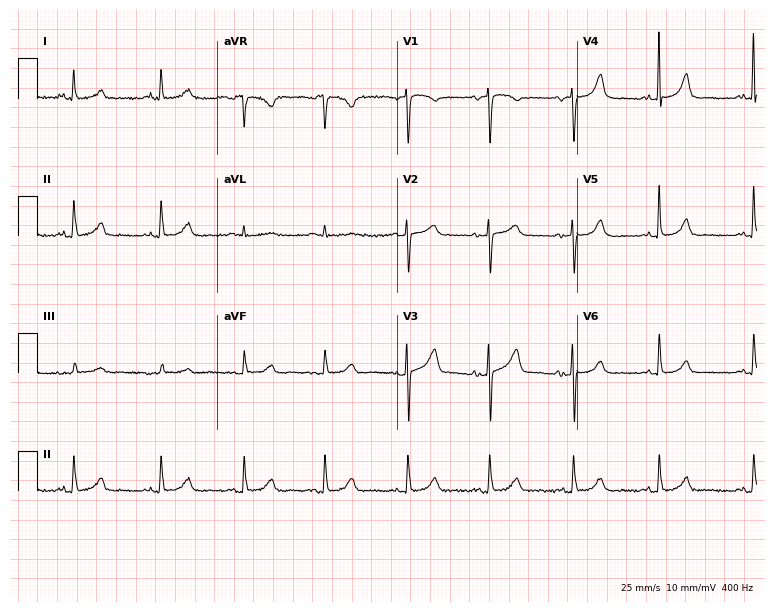
Resting 12-lead electrocardiogram. Patient: a female, 64 years old. Read as a normal ECG.